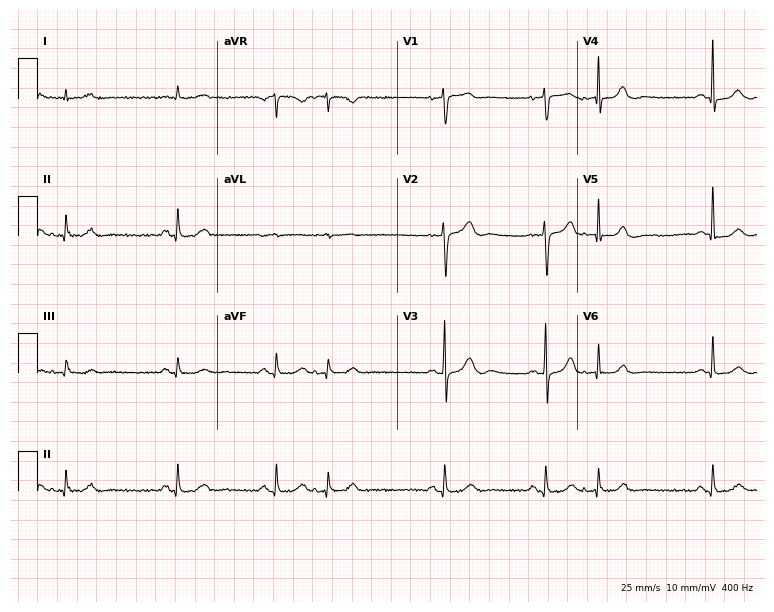
Resting 12-lead electrocardiogram. Patient: a 75-year-old woman. None of these six findings is recorded: first-degree AV block, right bundle branch block, left bundle branch block, sinus bradycardia, atrial fibrillation, sinus tachycardia. Only these six findings were labelled.